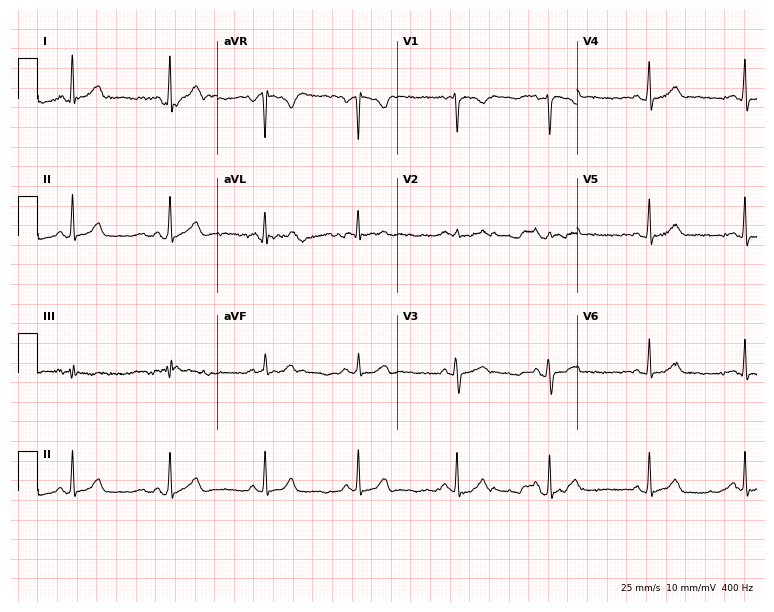
Standard 12-lead ECG recorded from a female, 23 years old (7.3-second recording at 400 Hz). Read as a normal ECG.